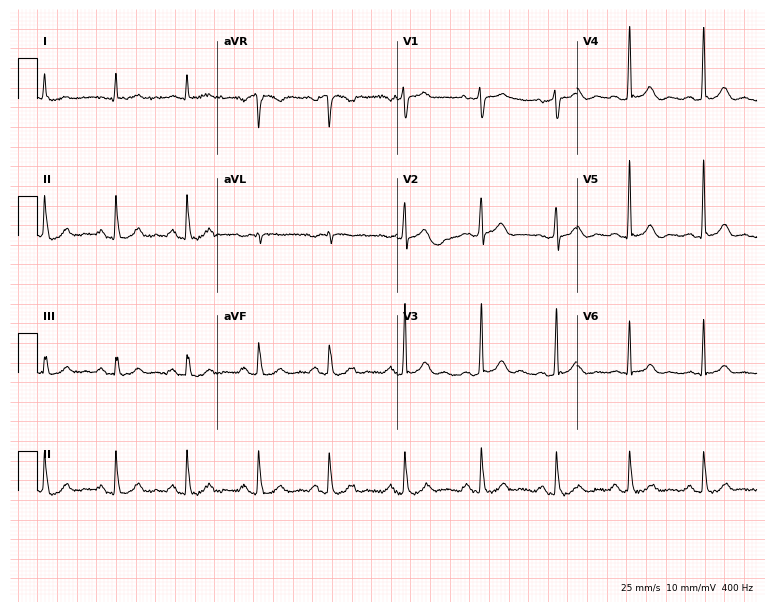
12-lead ECG from a 57-year-old man. Screened for six findings — first-degree AV block, right bundle branch block (RBBB), left bundle branch block (LBBB), sinus bradycardia, atrial fibrillation (AF), sinus tachycardia — none is recorded. Only these six findings were labelled.